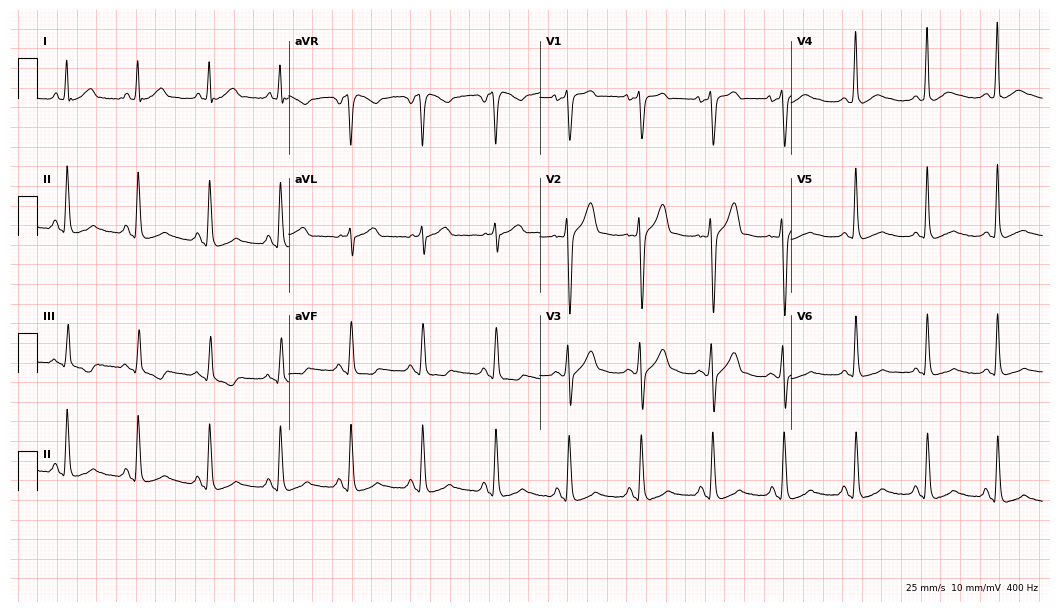
Electrocardiogram, a male, 31 years old. Of the six screened findings (first-degree AV block, right bundle branch block, left bundle branch block, sinus bradycardia, atrial fibrillation, sinus tachycardia), none is recorded.